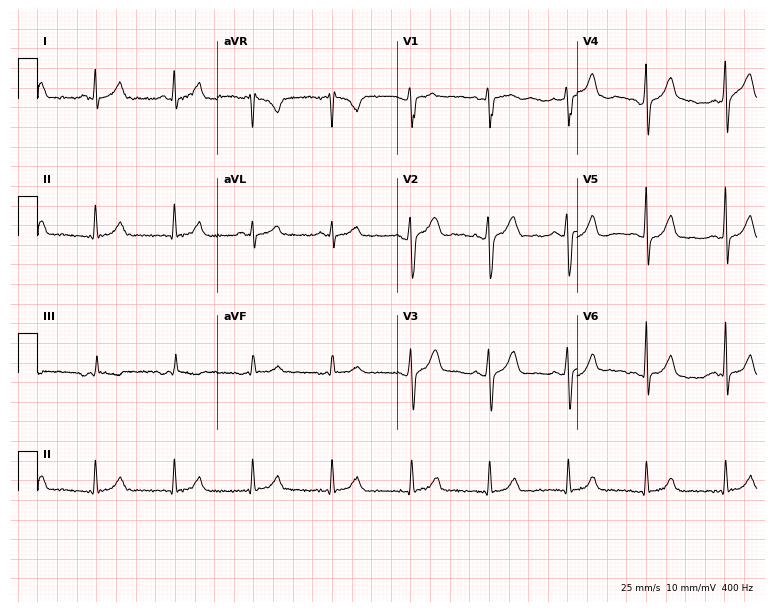
ECG — a 57-year-old male patient. Labelled as a normal ECG.